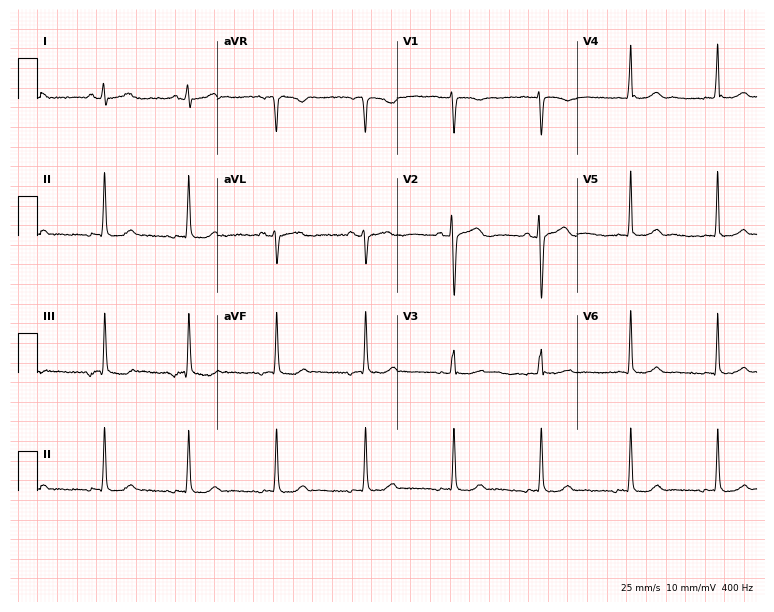
Resting 12-lead electrocardiogram (7.3-second recording at 400 Hz). Patient: a 21-year-old female. None of these six findings is recorded: first-degree AV block, right bundle branch block, left bundle branch block, sinus bradycardia, atrial fibrillation, sinus tachycardia.